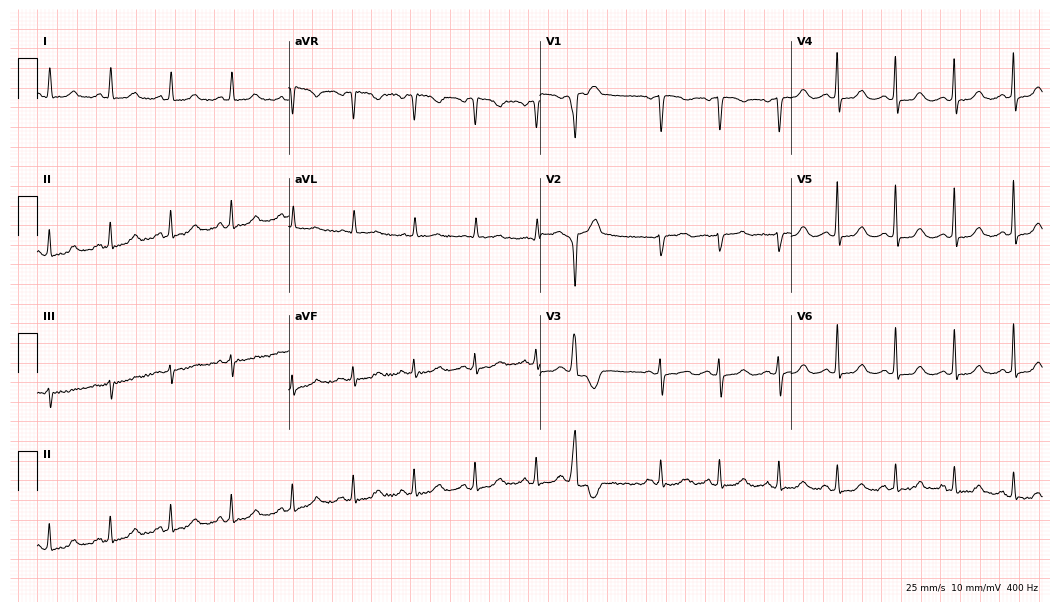
Electrocardiogram, a 75-year-old female. Overall reading on record: normal ECG.